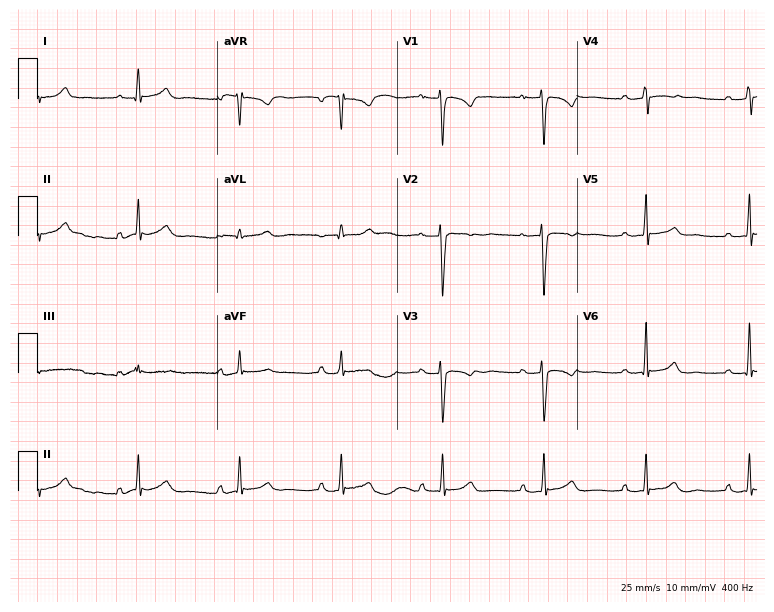
12-lead ECG from a 28-year-old woman. Screened for six findings — first-degree AV block, right bundle branch block, left bundle branch block, sinus bradycardia, atrial fibrillation, sinus tachycardia — none is recorded. Other findings, if any, are not listed.